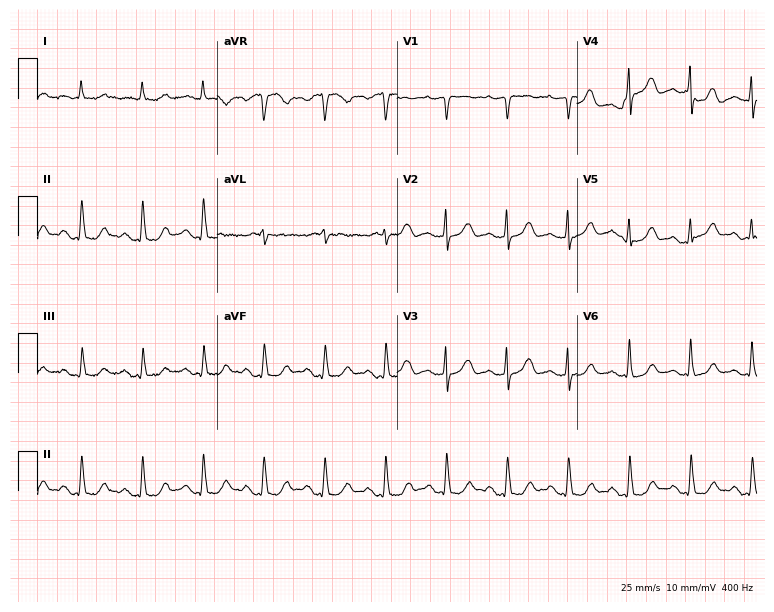
Electrocardiogram, a female, 85 years old. Of the six screened findings (first-degree AV block, right bundle branch block, left bundle branch block, sinus bradycardia, atrial fibrillation, sinus tachycardia), none is recorded. Findings outside these six are not listed.